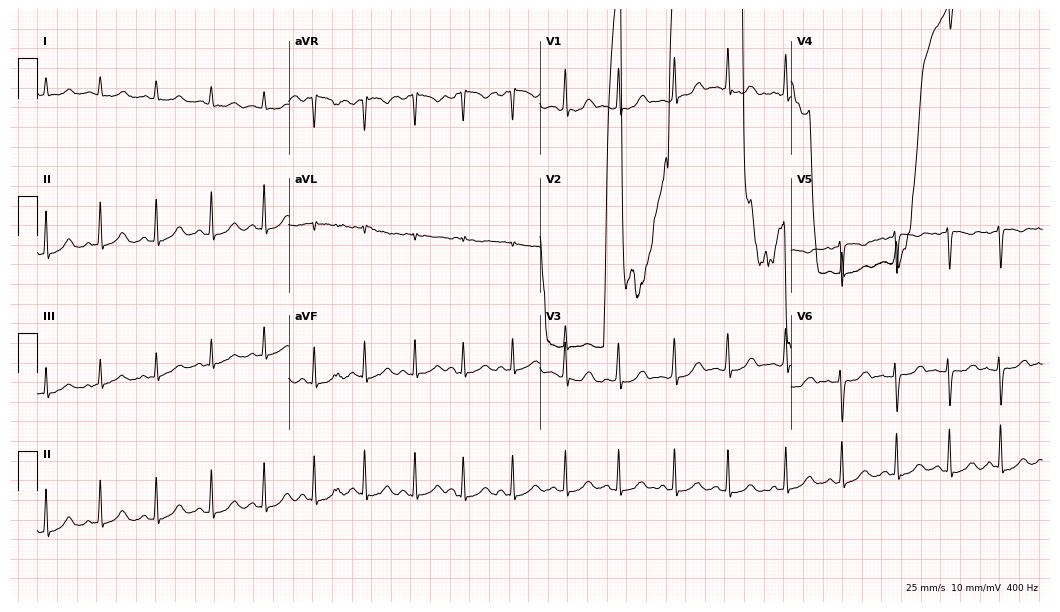
Electrocardiogram (10.2-second recording at 400 Hz), a woman, 21 years old. Of the six screened findings (first-degree AV block, right bundle branch block (RBBB), left bundle branch block (LBBB), sinus bradycardia, atrial fibrillation (AF), sinus tachycardia), none is recorded. Findings outside these six are not listed.